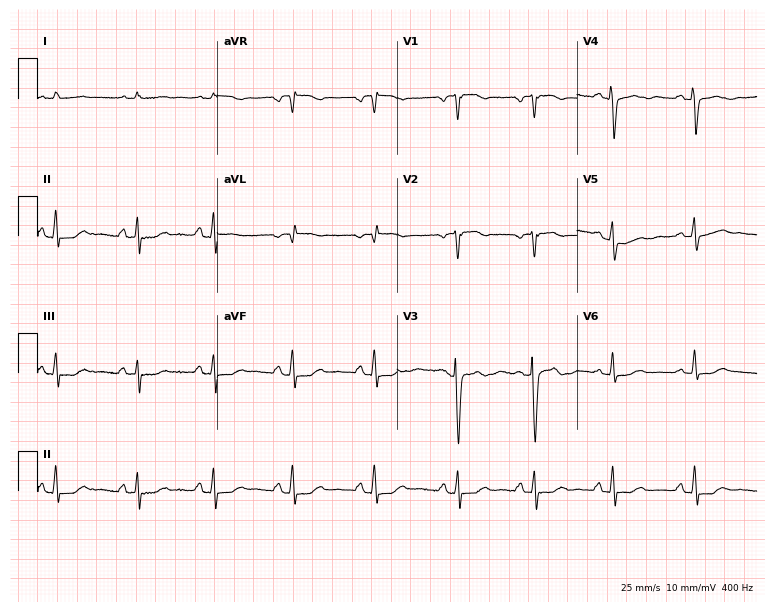
ECG — a 59-year-old female patient. Screened for six findings — first-degree AV block, right bundle branch block, left bundle branch block, sinus bradycardia, atrial fibrillation, sinus tachycardia — none is recorded. Findings outside these six are not listed.